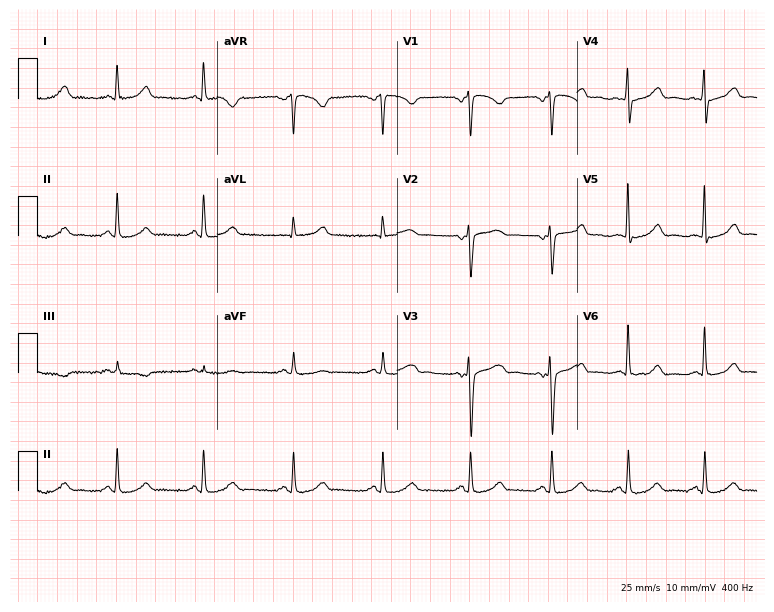
Resting 12-lead electrocardiogram (7.3-second recording at 400 Hz). Patient: a 51-year-old female. None of these six findings is recorded: first-degree AV block, right bundle branch block, left bundle branch block, sinus bradycardia, atrial fibrillation, sinus tachycardia.